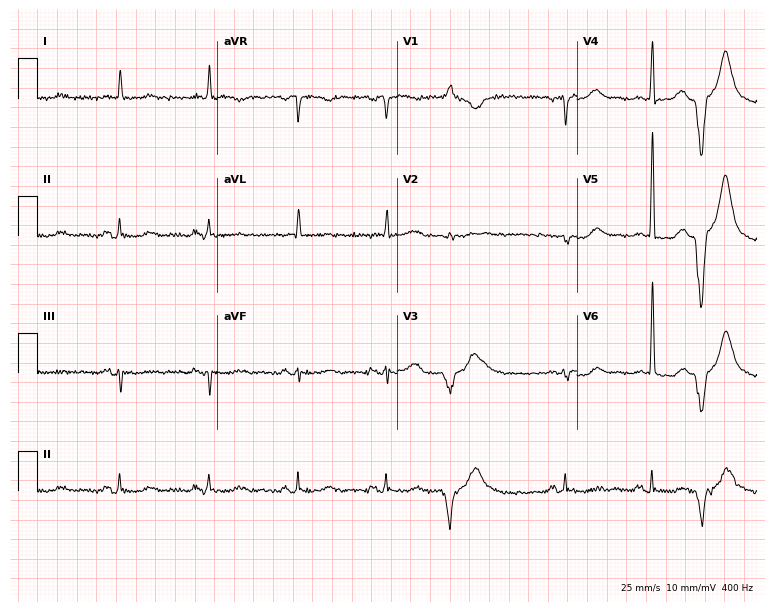
Standard 12-lead ECG recorded from an 84-year-old female. None of these six findings is recorded: first-degree AV block, right bundle branch block, left bundle branch block, sinus bradycardia, atrial fibrillation, sinus tachycardia.